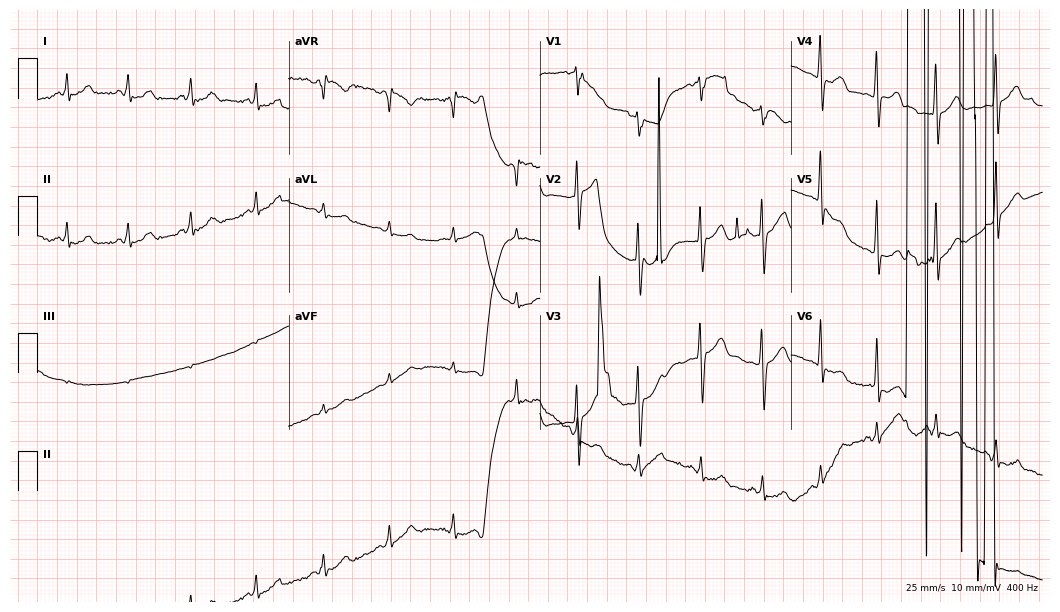
ECG — a male, 30 years old. Screened for six findings — first-degree AV block, right bundle branch block (RBBB), left bundle branch block (LBBB), sinus bradycardia, atrial fibrillation (AF), sinus tachycardia — none is recorded.